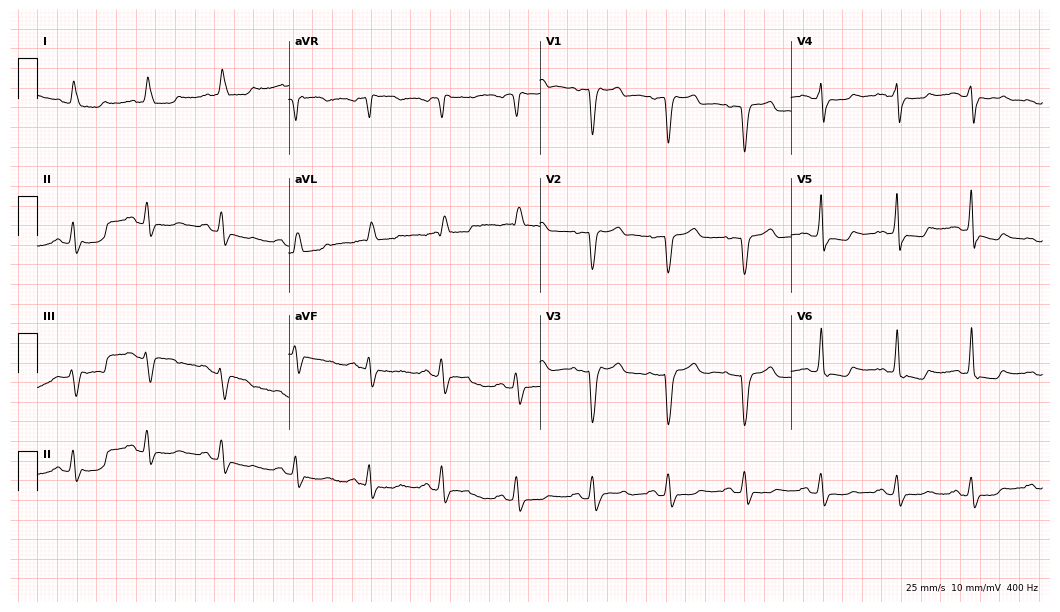
ECG (10.2-second recording at 400 Hz) — an 84-year-old female. Screened for six findings — first-degree AV block, right bundle branch block, left bundle branch block, sinus bradycardia, atrial fibrillation, sinus tachycardia — none is recorded. Only these six findings were labelled.